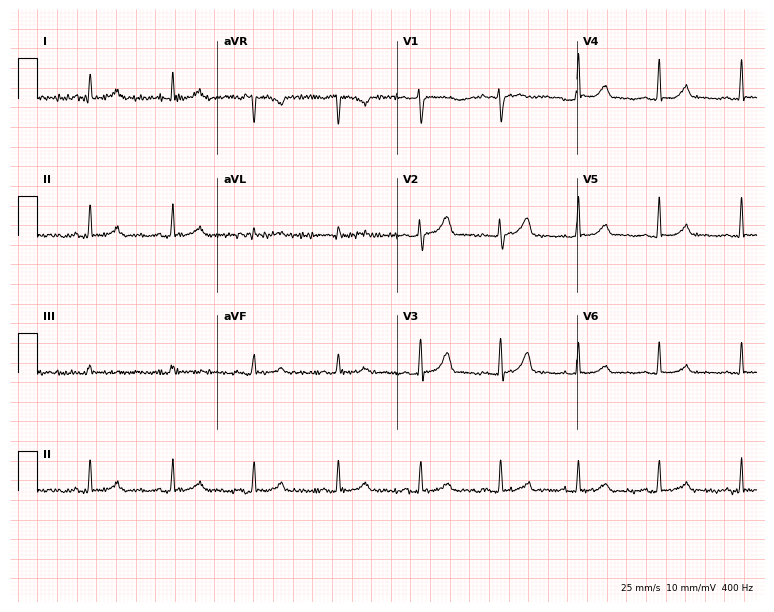
ECG (7.3-second recording at 400 Hz) — a 36-year-old female patient. Labelled as a normal ECG.